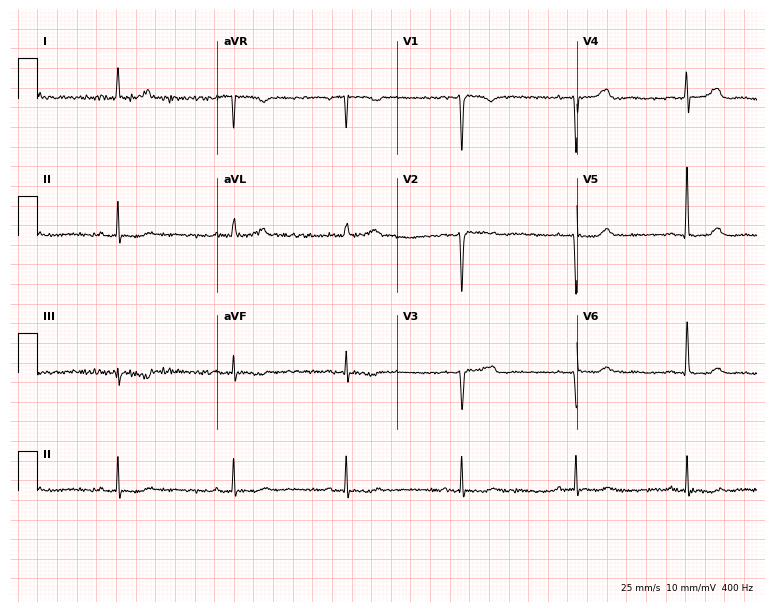
12-lead ECG from a woman, 39 years old. Screened for six findings — first-degree AV block, right bundle branch block, left bundle branch block, sinus bradycardia, atrial fibrillation, sinus tachycardia — none is recorded. Other findings, if any, are not listed.